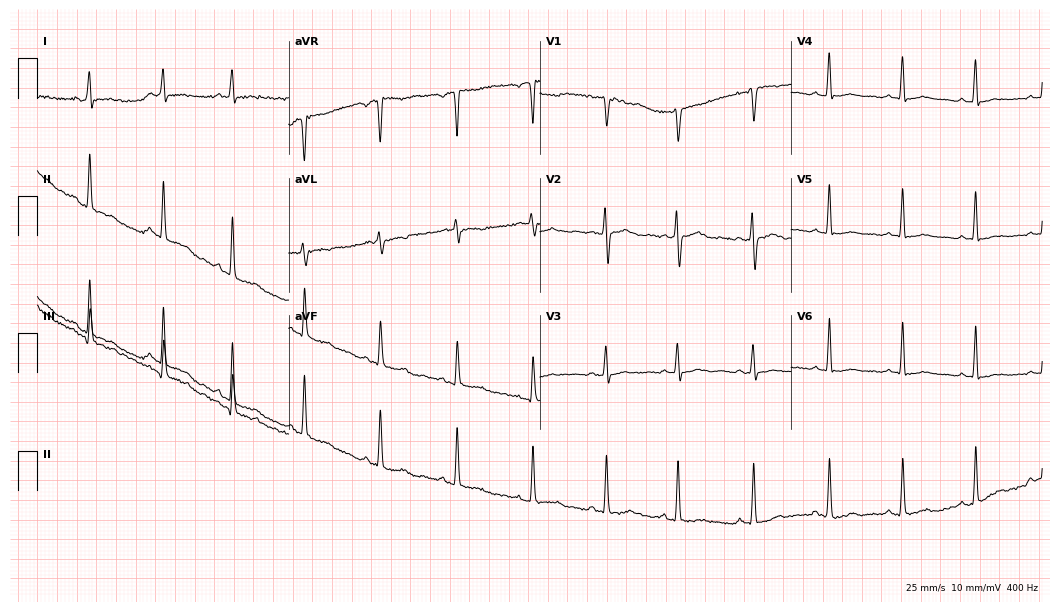
Standard 12-lead ECG recorded from a 34-year-old woman. None of these six findings is recorded: first-degree AV block, right bundle branch block (RBBB), left bundle branch block (LBBB), sinus bradycardia, atrial fibrillation (AF), sinus tachycardia.